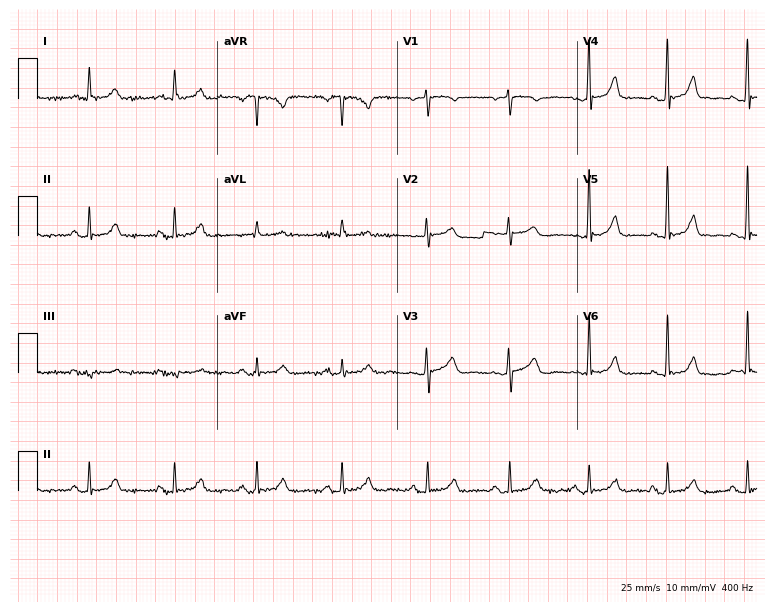
12-lead ECG from a female, 70 years old (7.3-second recording at 400 Hz). No first-degree AV block, right bundle branch block (RBBB), left bundle branch block (LBBB), sinus bradycardia, atrial fibrillation (AF) or sinus tachycardia recorded for this tracing. Findings outside these six are not listed.